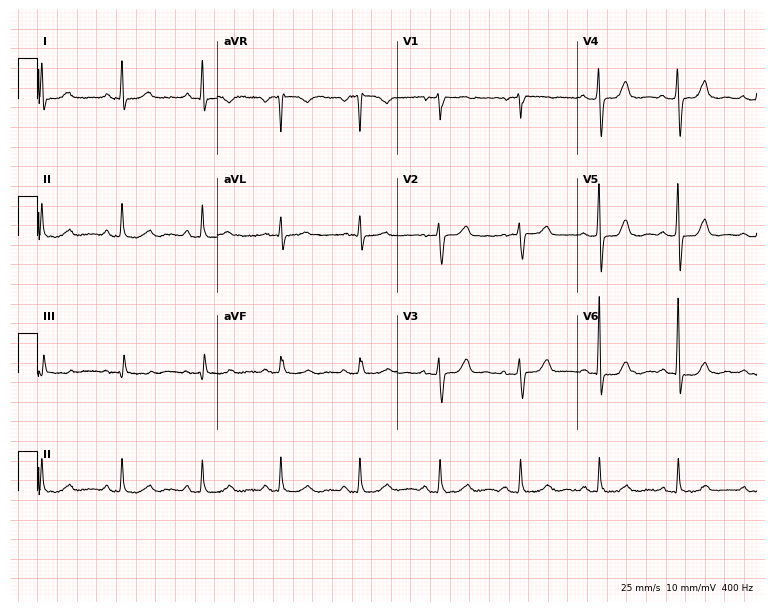
12-lead ECG from a 59-year-old female. Screened for six findings — first-degree AV block, right bundle branch block, left bundle branch block, sinus bradycardia, atrial fibrillation, sinus tachycardia — none is recorded.